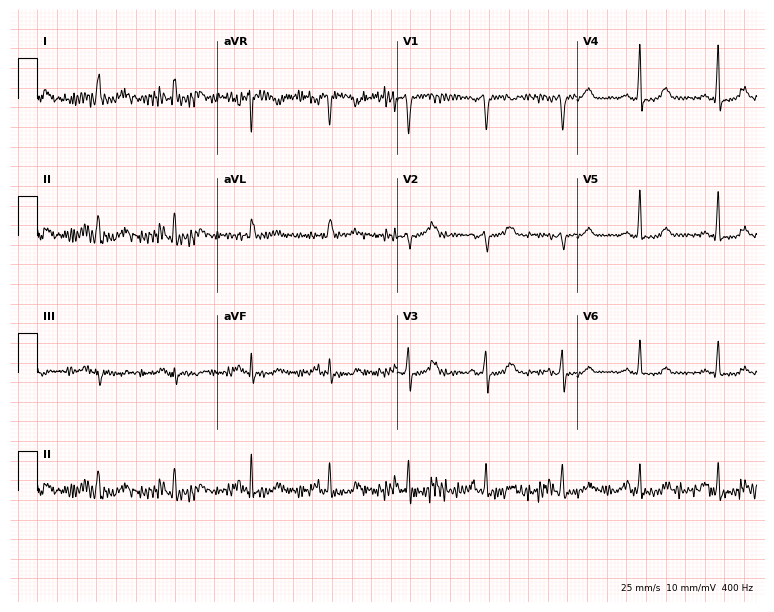
12-lead ECG from a woman, 45 years old (7.3-second recording at 400 Hz). Recorded interpretation: within normal limits.